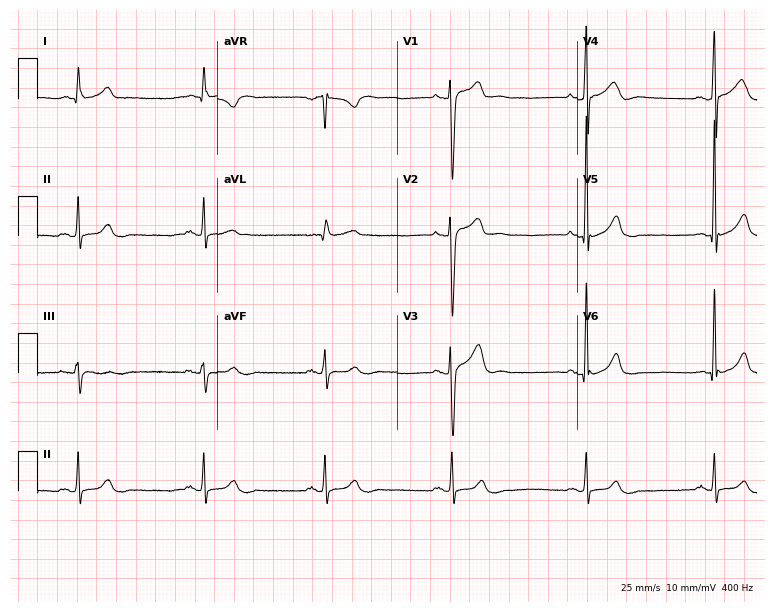
12-lead ECG from a male patient, 42 years old. Labelled as a normal ECG.